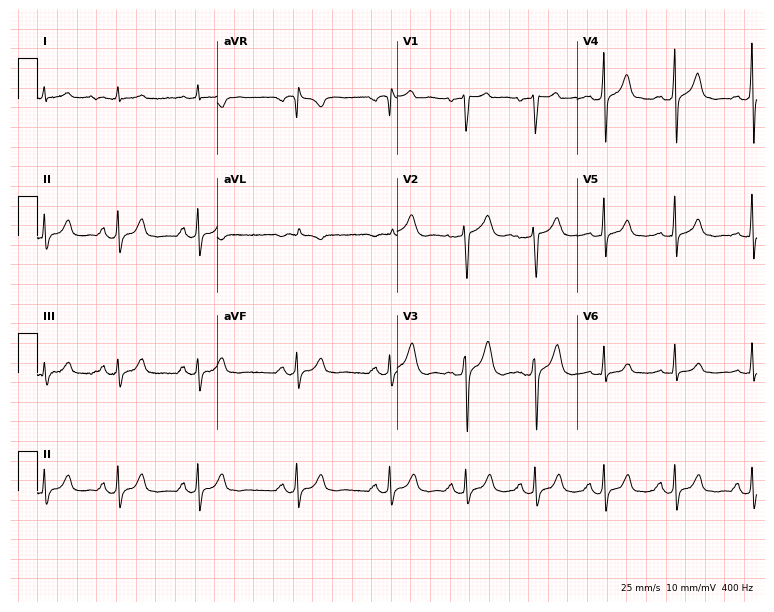
Resting 12-lead electrocardiogram (7.3-second recording at 400 Hz). Patient: a 56-year-old male. Read as a normal ECG.